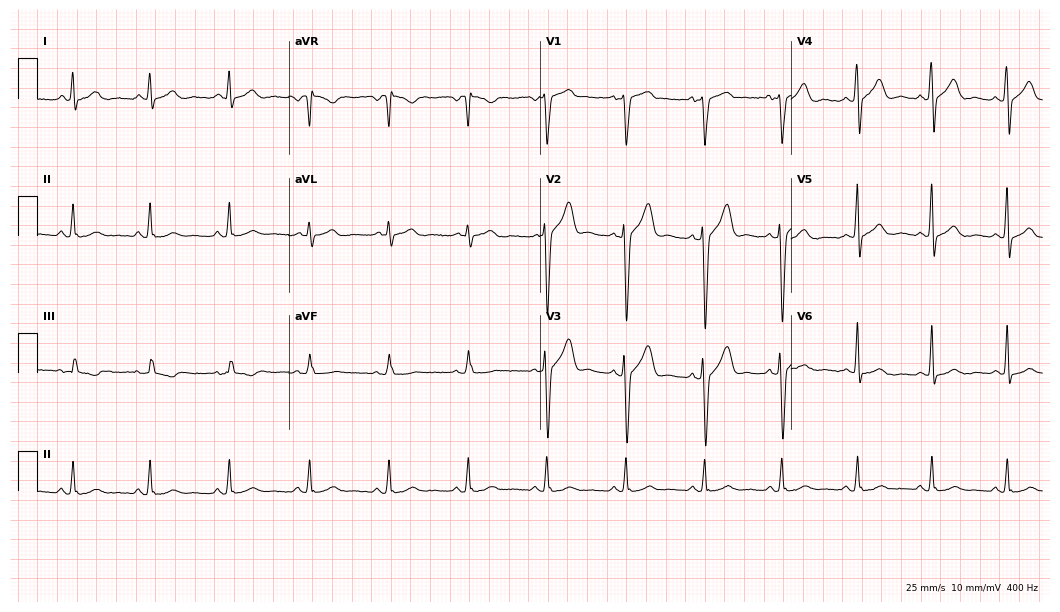
Electrocardiogram (10.2-second recording at 400 Hz), a male patient, 36 years old. Overall reading on record: normal ECG.